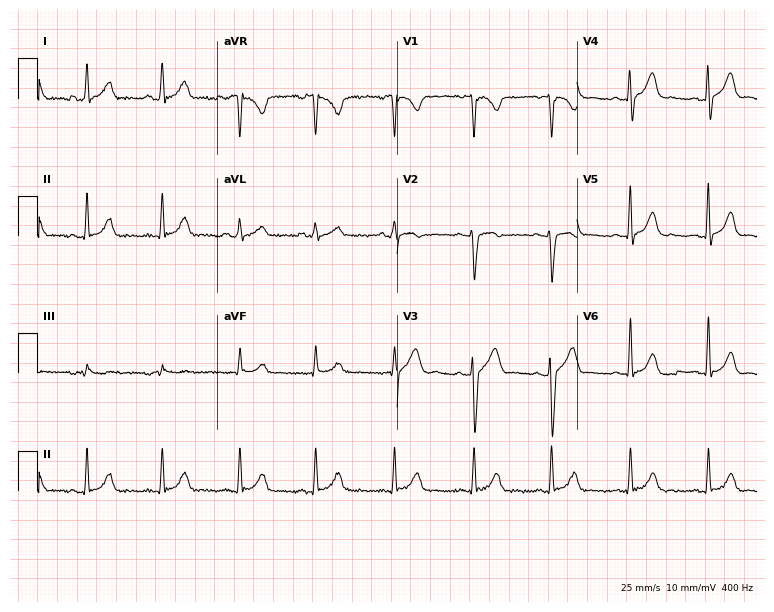
Electrocardiogram (7.3-second recording at 400 Hz), a male patient, 27 years old. Overall reading on record: normal ECG.